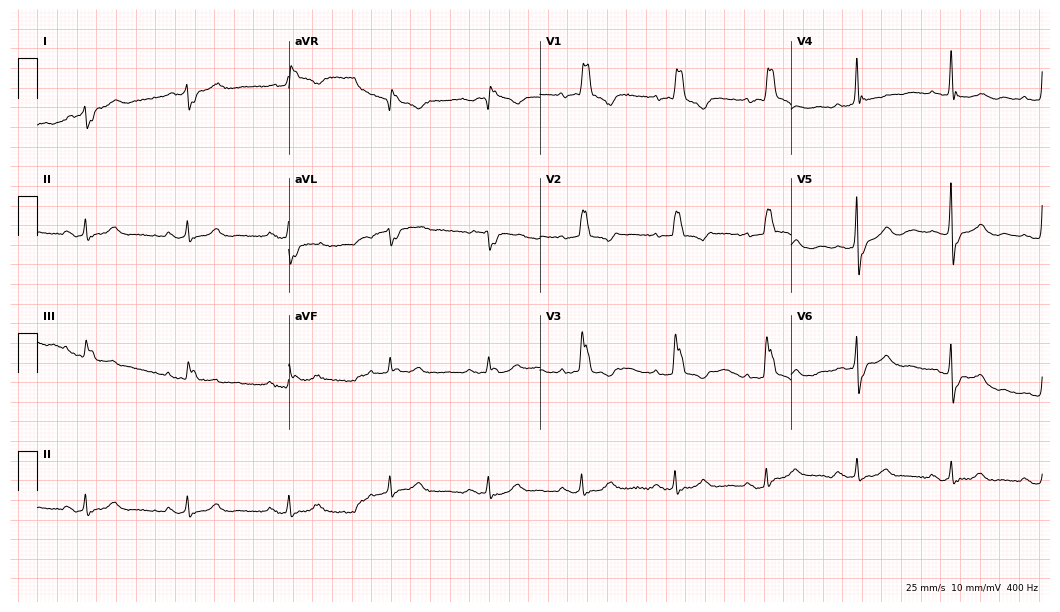
Resting 12-lead electrocardiogram. Patient: a male, 84 years old. The tracing shows right bundle branch block.